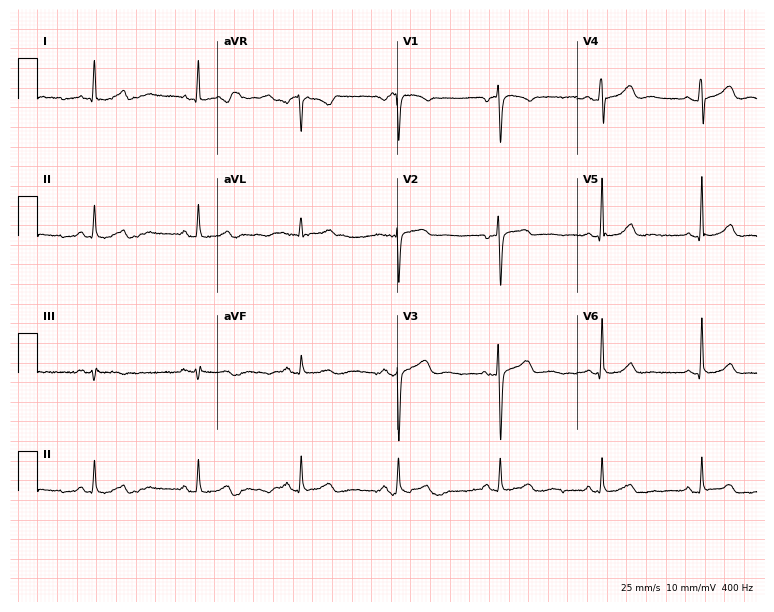
Standard 12-lead ECG recorded from a 54-year-old female patient. Read as a normal ECG.